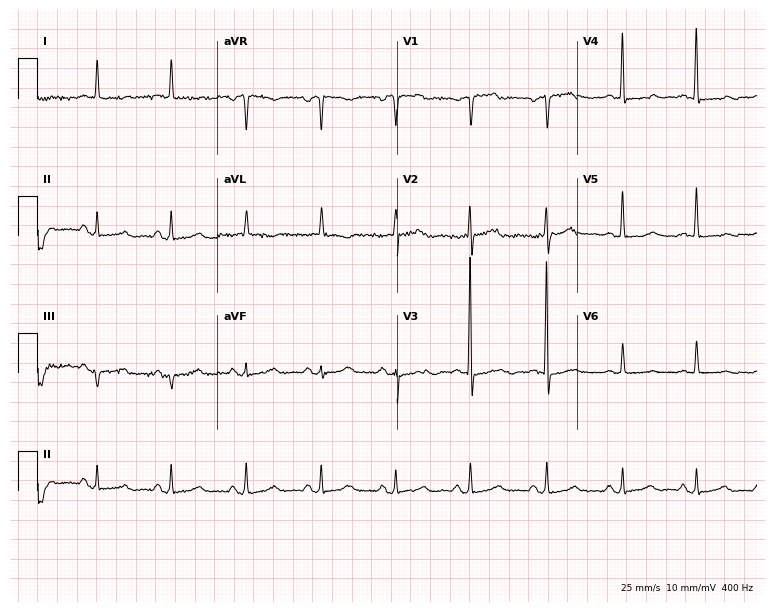
Electrocardiogram, a 75-year-old woman. Of the six screened findings (first-degree AV block, right bundle branch block (RBBB), left bundle branch block (LBBB), sinus bradycardia, atrial fibrillation (AF), sinus tachycardia), none is recorded. Findings outside these six are not listed.